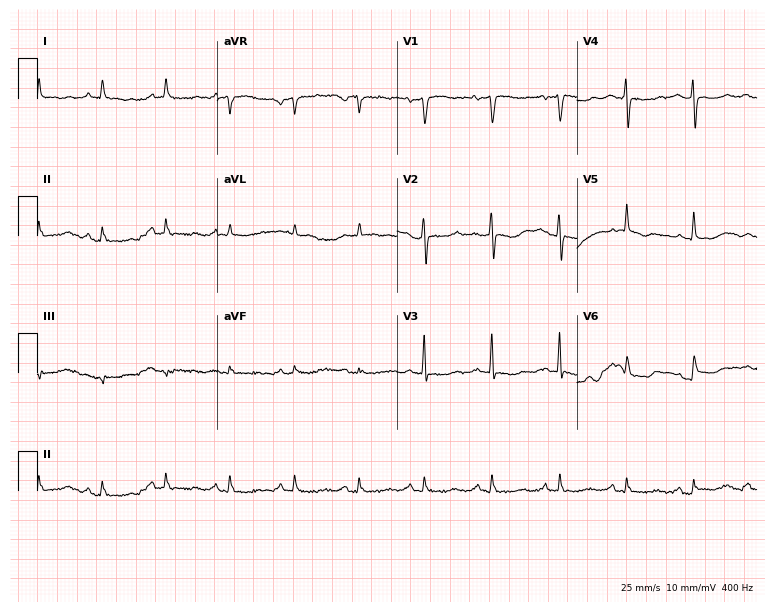
12-lead ECG (7.3-second recording at 400 Hz) from a 57-year-old female. Screened for six findings — first-degree AV block, right bundle branch block, left bundle branch block, sinus bradycardia, atrial fibrillation, sinus tachycardia — none is recorded. Other findings, if any, are not listed.